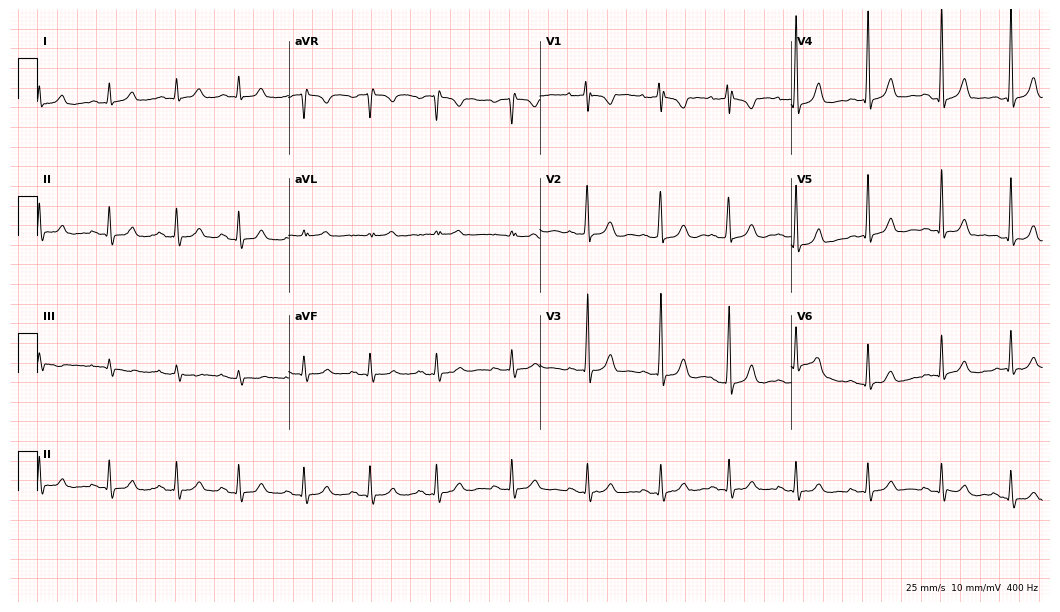
ECG (10.2-second recording at 400 Hz) — a 27-year-old woman. Labelled as a normal ECG.